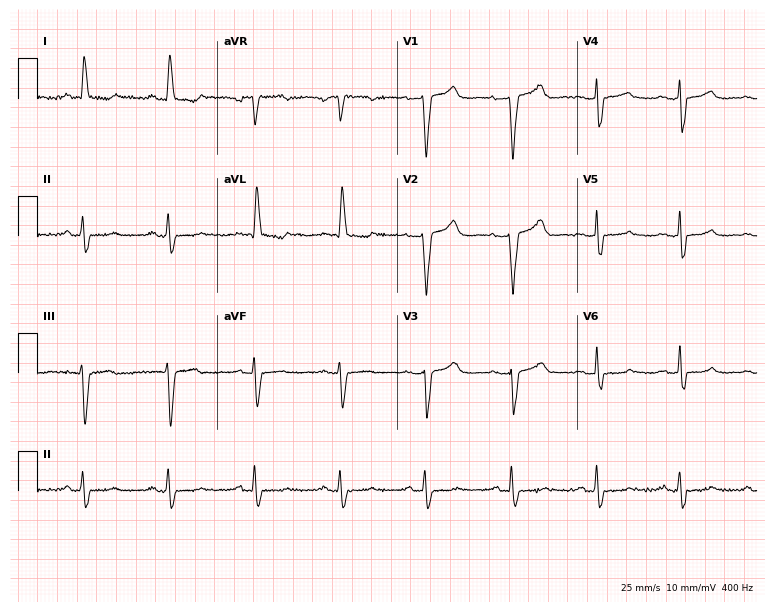
ECG (7.3-second recording at 400 Hz) — a female, 65 years old. Screened for six findings — first-degree AV block, right bundle branch block (RBBB), left bundle branch block (LBBB), sinus bradycardia, atrial fibrillation (AF), sinus tachycardia — none is recorded.